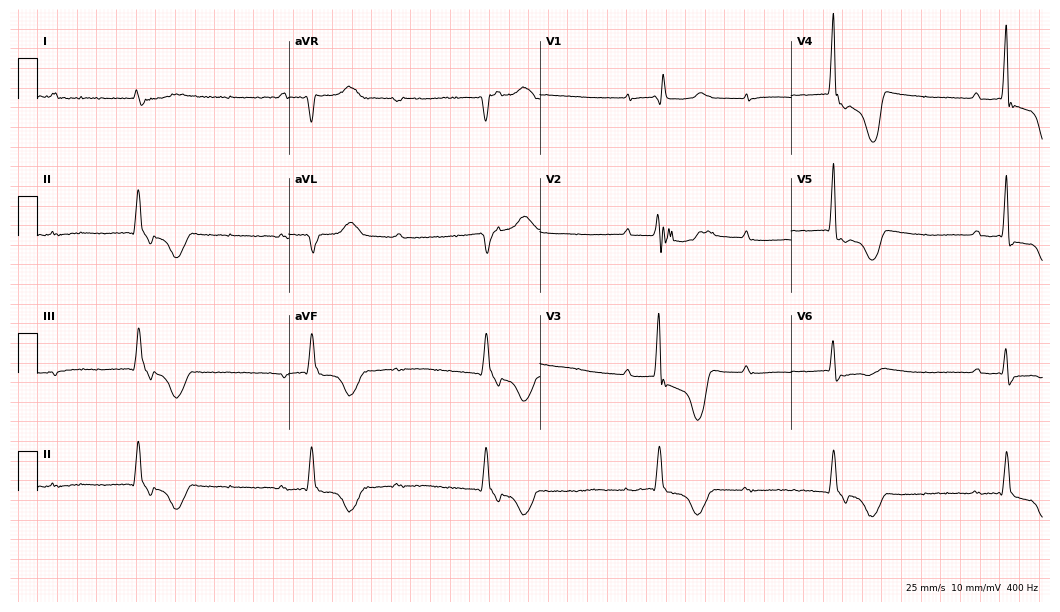
ECG — a male, 82 years old. Findings include first-degree AV block.